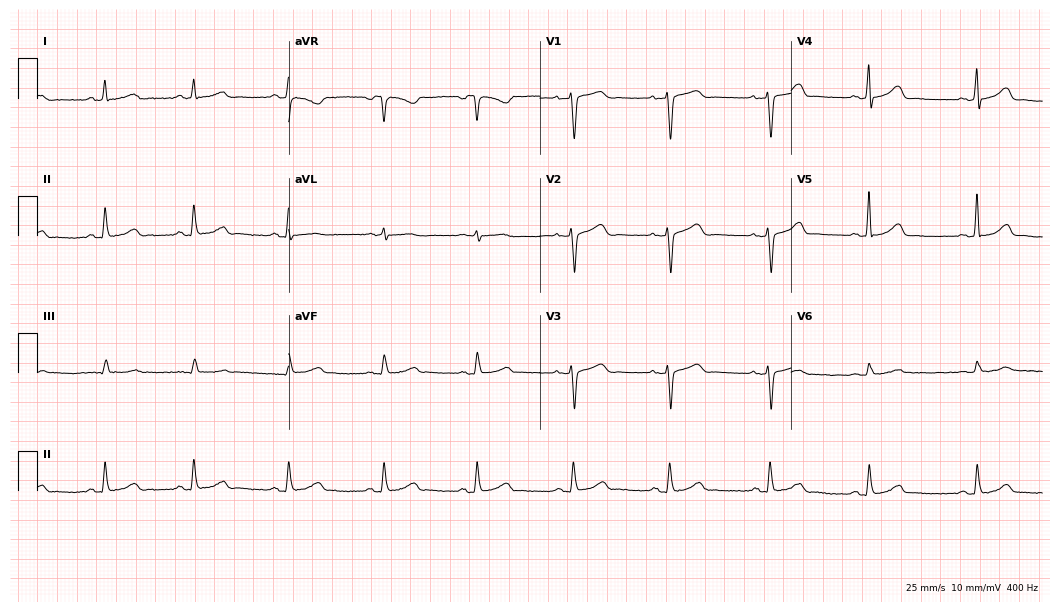
Electrocardiogram, a 63-year-old woman. Overall reading on record: normal ECG.